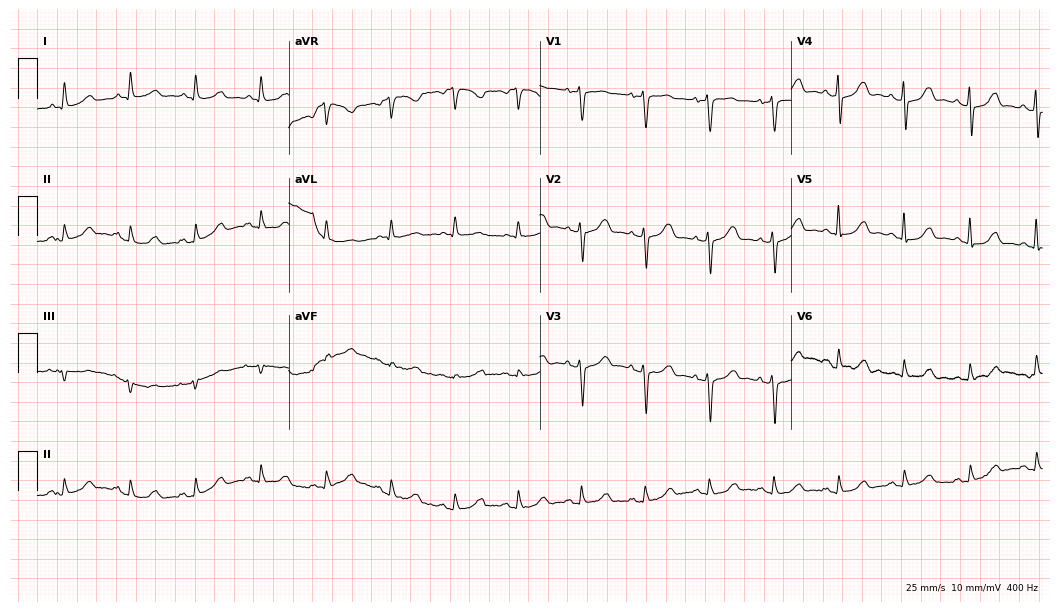
ECG (10.2-second recording at 400 Hz) — a 72-year-old woman. Labelled as a normal ECG.